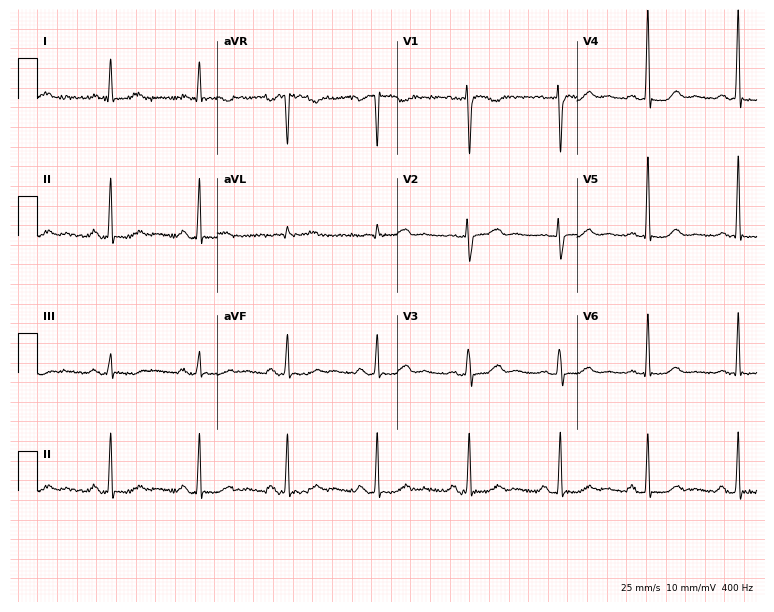
Resting 12-lead electrocardiogram. Patient: a female, 59 years old. None of these six findings is recorded: first-degree AV block, right bundle branch block (RBBB), left bundle branch block (LBBB), sinus bradycardia, atrial fibrillation (AF), sinus tachycardia.